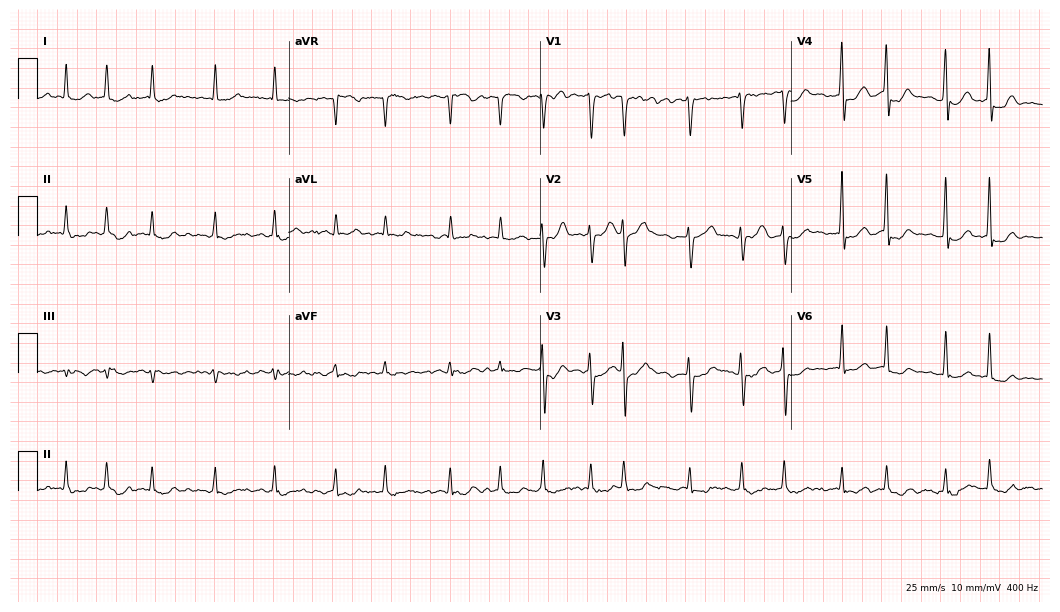
Resting 12-lead electrocardiogram. Patient: a woman, 53 years old. The tracing shows atrial fibrillation.